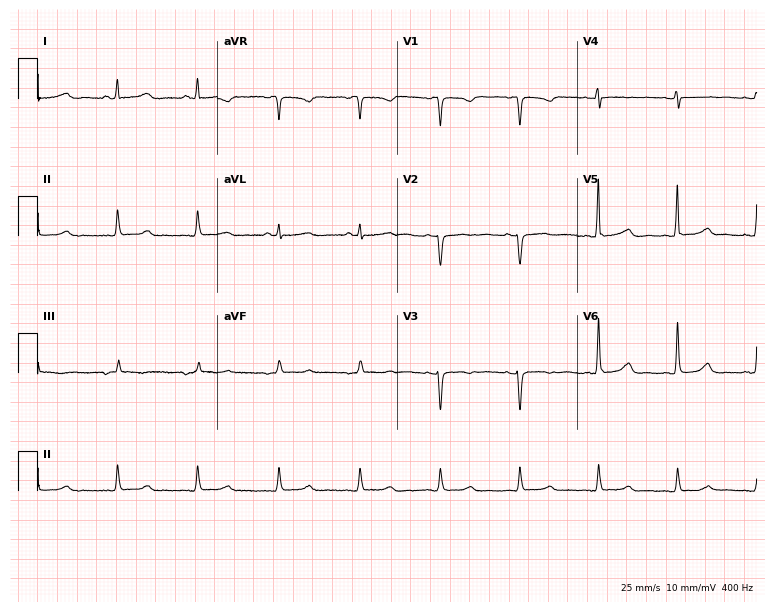
Resting 12-lead electrocardiogram. Patient: a 57-year-old female. None of these six findings is recorded: first-degree AV block, right bundle branch block (RBBB), left bundle branch block (LBBB), sinus bradycardia, atrial fibrillation (AF), sinus tachycardia.